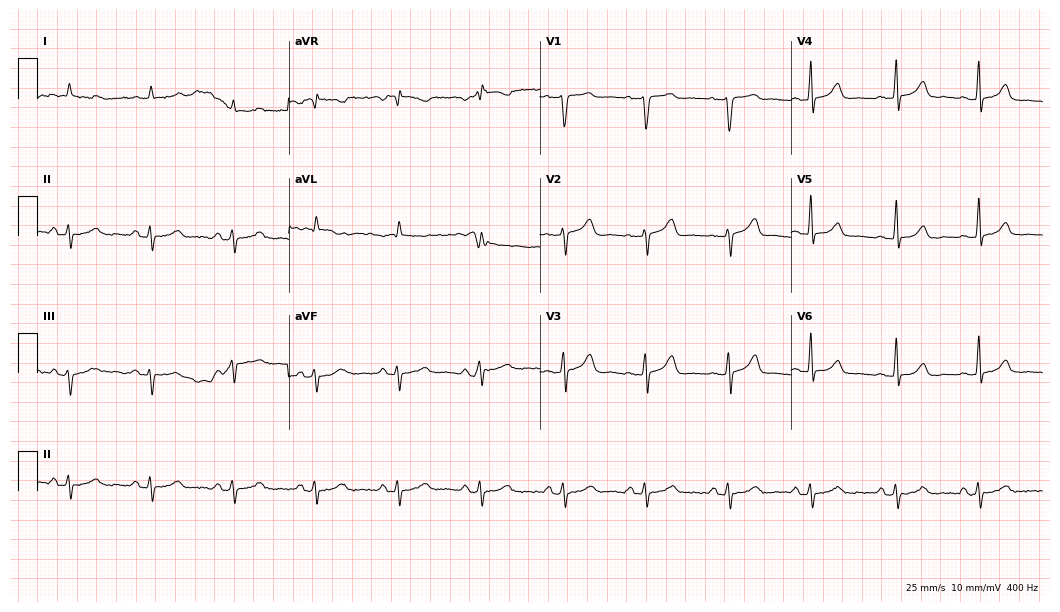
Resting 12-lead electrocardiogram. Patient: an 82-year-old male. None of these six findings is recorded: first-degree AV block, right bundle branch block, left bundle branch block, sinus bradycardia, atrial fibrillation, sinus tachycardia.